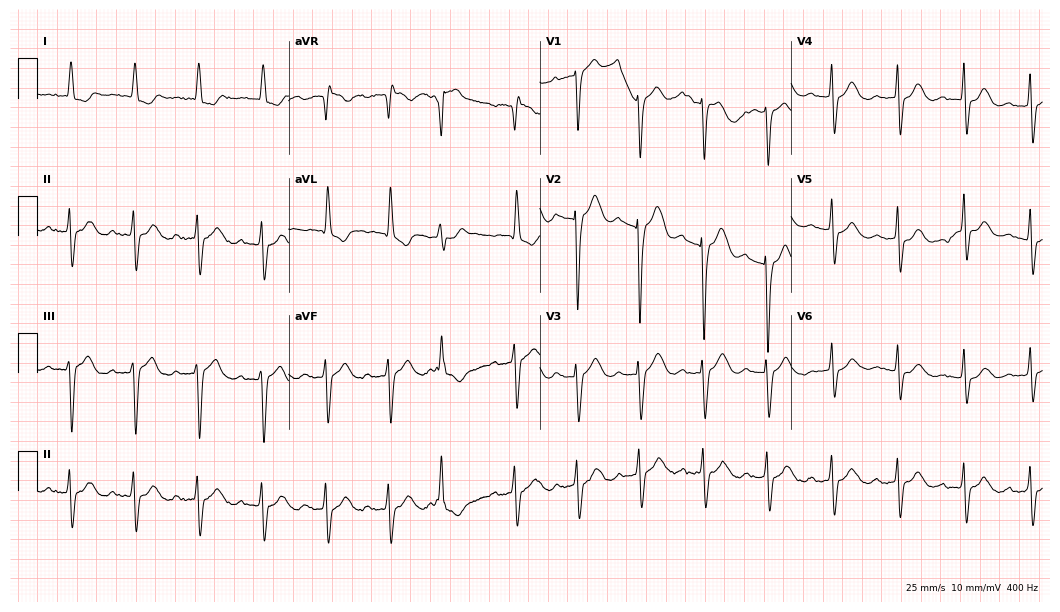
ECG — an 85-year-old female. Findings include first-degree AV block.